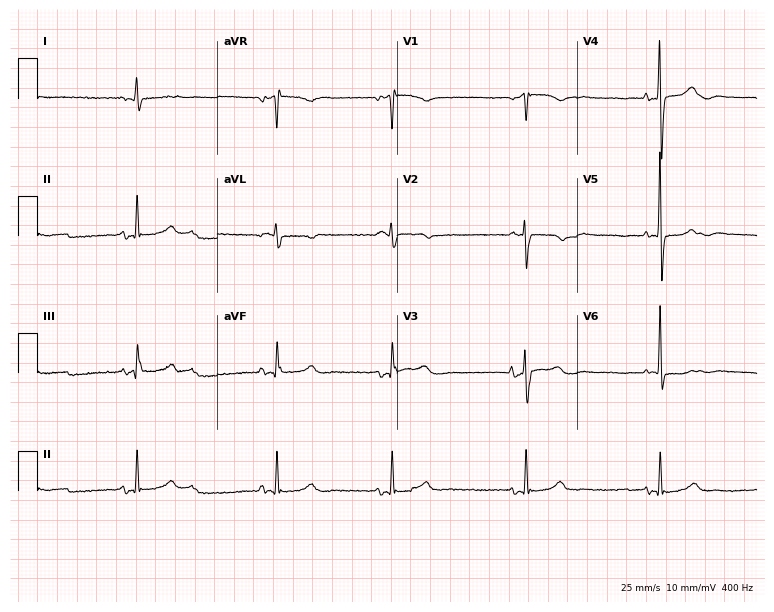
Resting 12-lead electrocardiogram. Patient: a 71-year-old woman. None of these six findings is recorded: first-degree AV block, right bundle branch block (RBBB), left bundle branch block (LBBB), sinus bradycardia, atrial fibrillation (AF), sinus tachycardia. Findings outside these six are not listed.